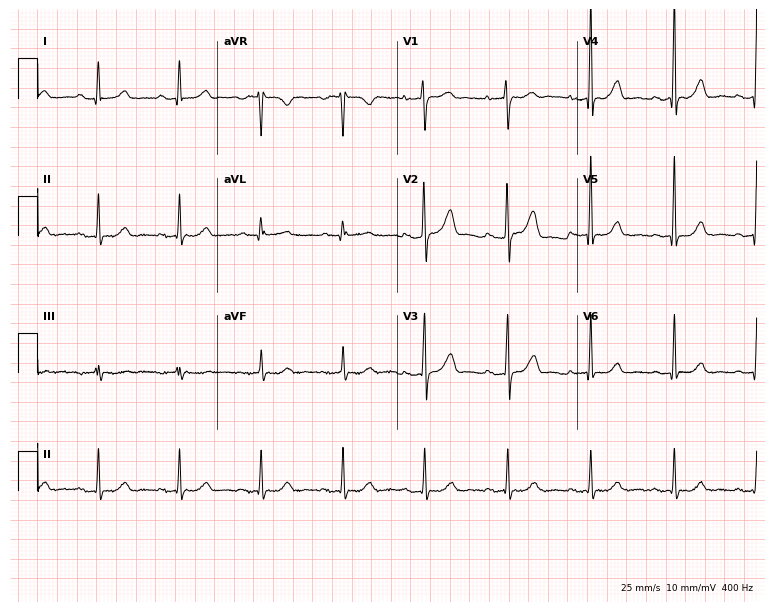
Standard 12-lead ECG recorded from a female patient, 54 years old (7.3-second recording at 400 Hz). Read as a normal ECG.